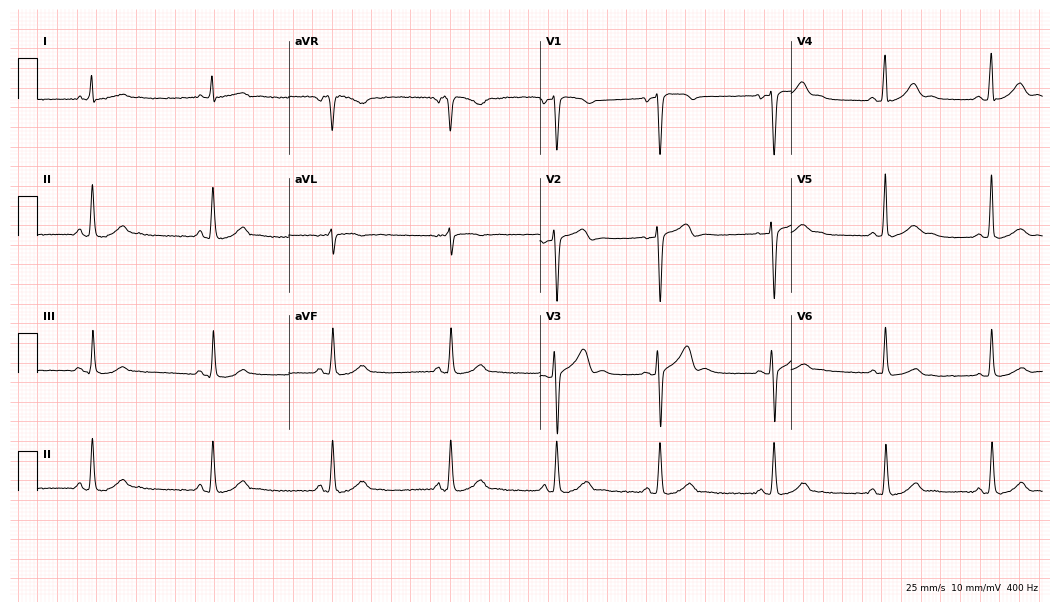
Electrocardiogram, a 41-year-old male. Overall reading on record: normal ECG.